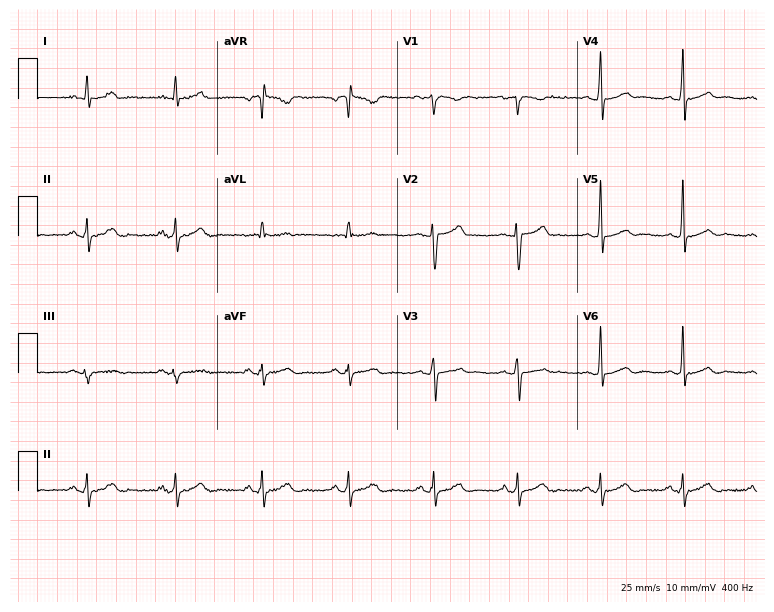
Standard 12-lead ECG recorded from a 36-year-old male patient. Read as a normal ECG.